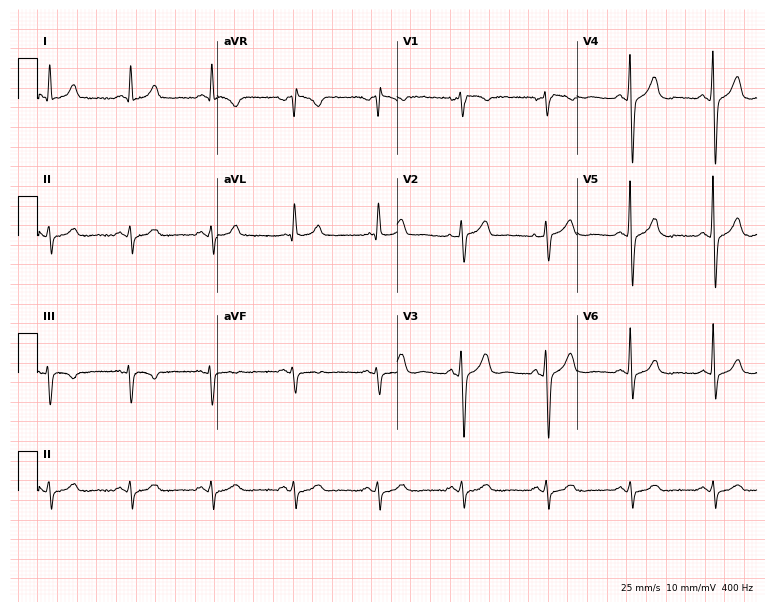
Standard 12-lead ECG recorded from a male, 60 years old. Read as a normal ECG.